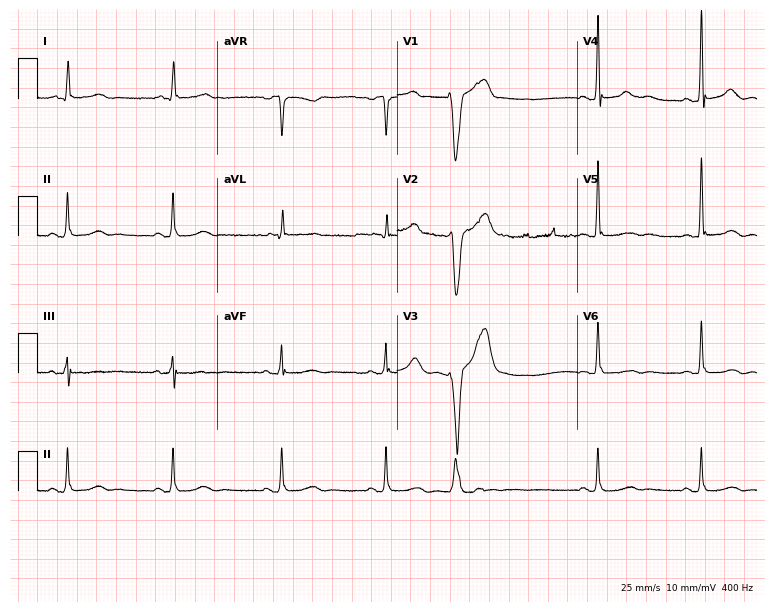
Standard 12-lead ECG recorded from a woman, 81 years old. None of these six findings is recorded: first-degree AV block, right bundle branch block, left bundle branch block, sinus bradycardia, atrial fibrillation, sinus tachycardia. Findings outside these six are not listed.